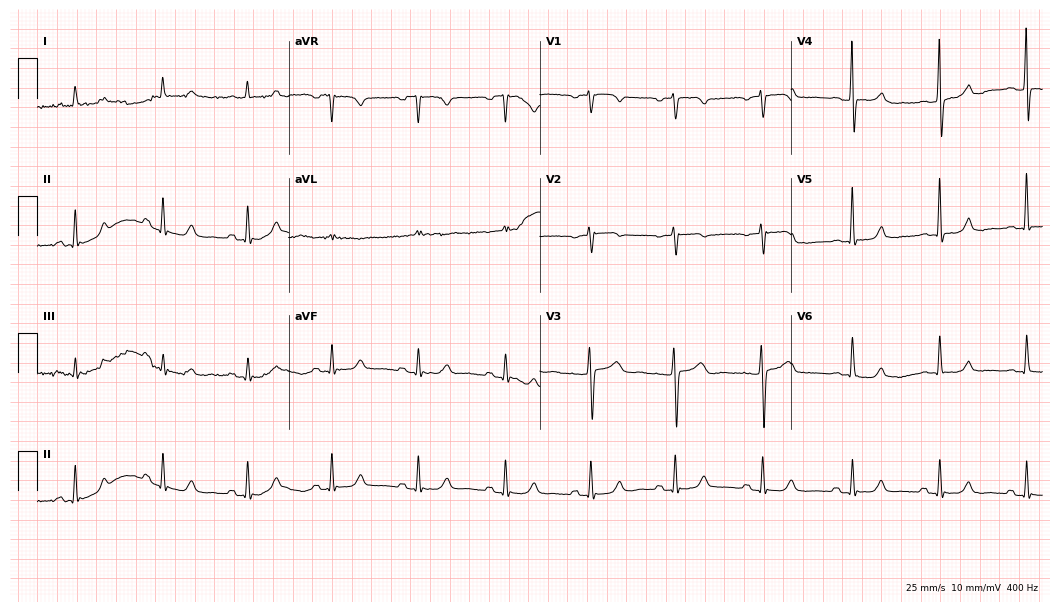
12-lead ECG from a female, 58 years old (10.2-second recording at 400 Hz). No first-degree AV block, right bundle branch block, left bundle branch block, sinus bradycardia, atrial fibrillation or sinus tachycardia recorded for this tracing.